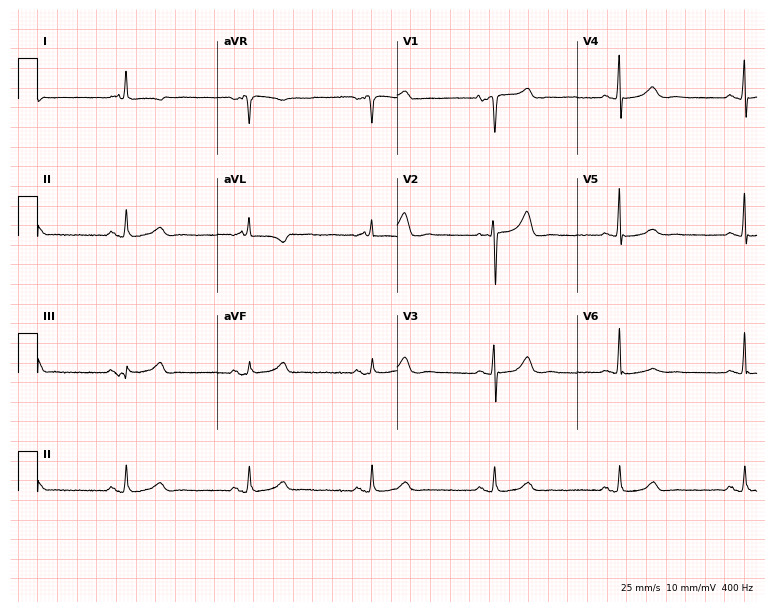
Standard 12-lead ECG recorded from a 78-year-old female patient. The tracing shows sinus bradycardia (a sinus rate of 50 beats per minute or less).